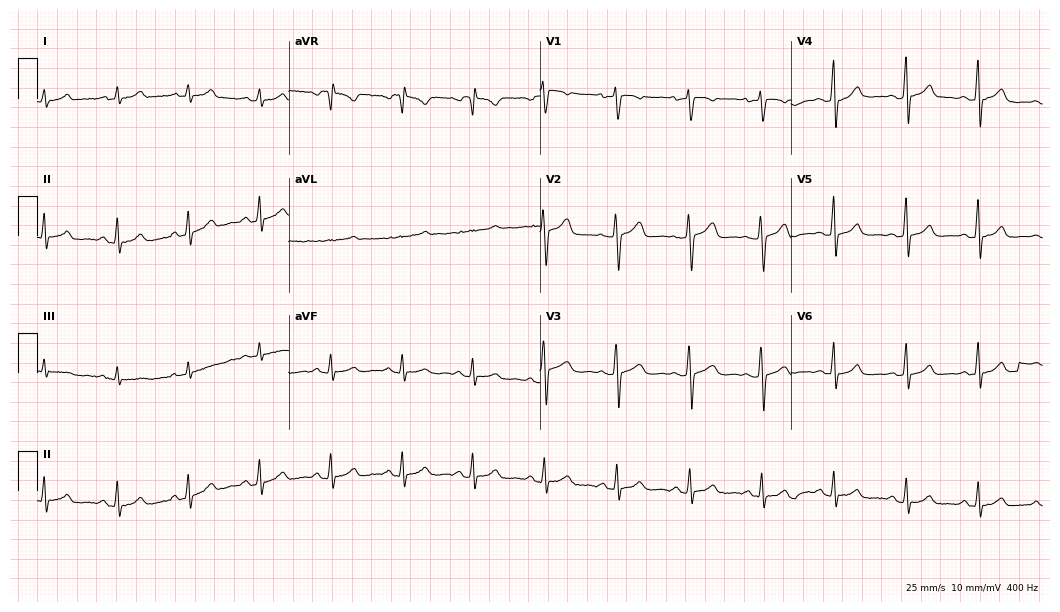
12-lead ECG from a female, 33 years old. Recorded interpretation: within normal limits.